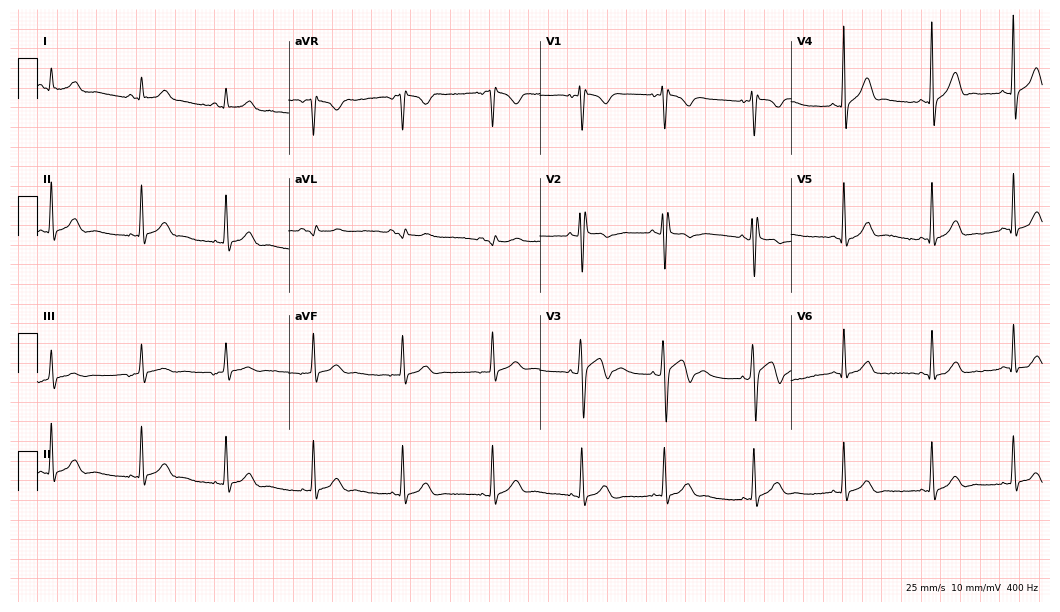
12-lead ECG (10.2-second recording at 400 Hz) from a male patient, 20 years old. Screened for six findings — first-degree AV block, right bundle branch block (RBBB), left bundle branch block (LBBB), sinus bradycardia, atrial fibrillation (AF), sinus tachycardia — none is recorded. Findings outside these six are not listed.